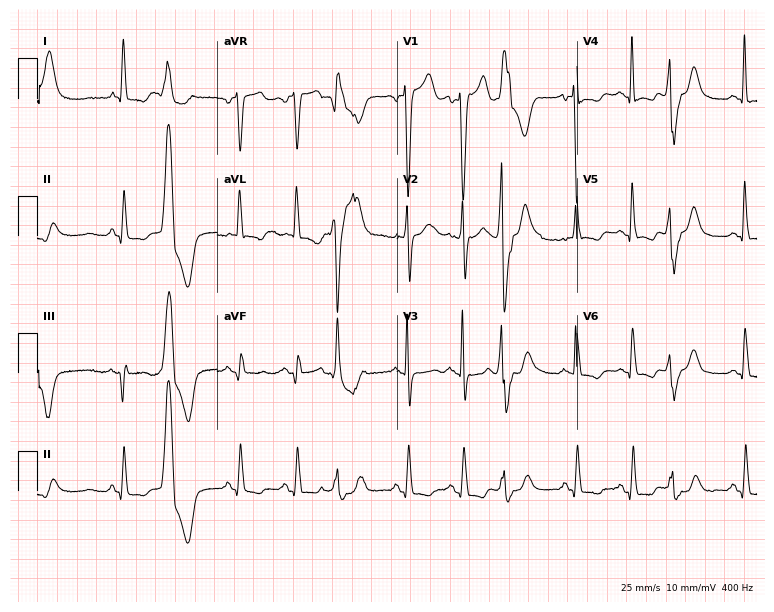
12-lead ECG from a female, 63 years old. Shows sinus tachycardia (a sinus rate of 100 beats per minute or more).